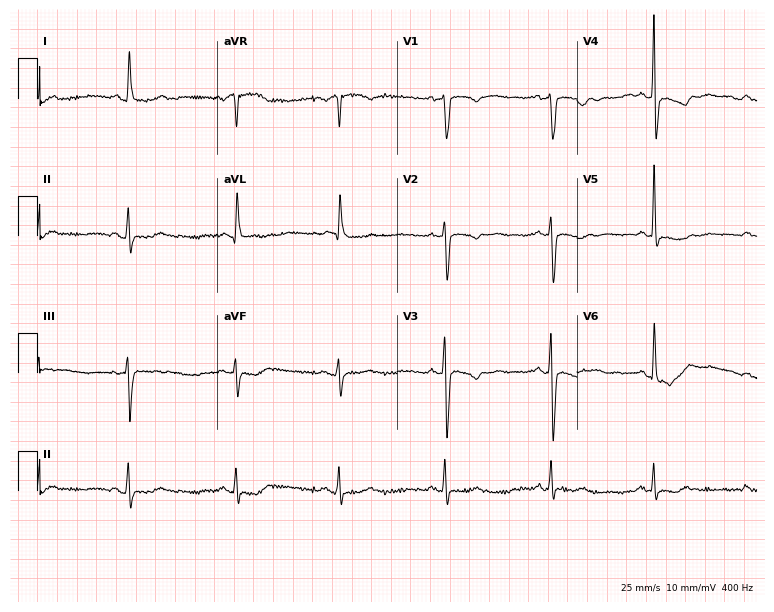
ECG (7.3-second recording at 400 Hz) — a 54-year-old female patient. Screened for six findings — first-degree AV block, right bundle branch block (RBBB), left bundle branch block (LBBB), sinus bradycardia, atrial fibrillation (AF), sinus tachycardia — none is recorded.